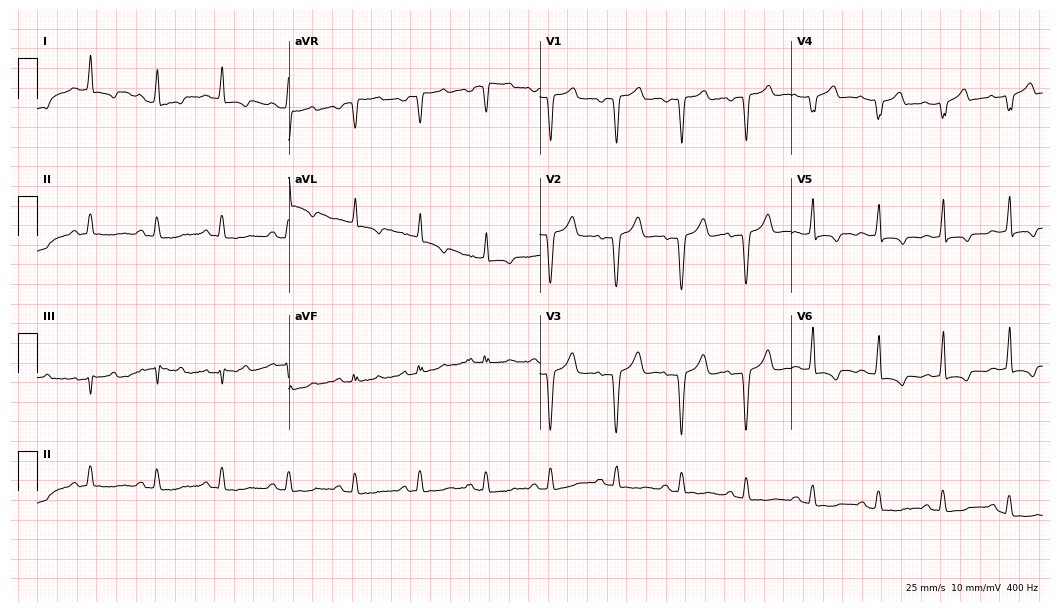
Electrocardiogram (10.2-second recording at 400 Hz), a 50-year-old female patient. Of the six screened findings (first-degree AV block, right bundle branch block, left bundle branch block, sinus bradycardia, atrial fibrillation, sinus tachycardia), none is recorded. Only these six findings were labelled.